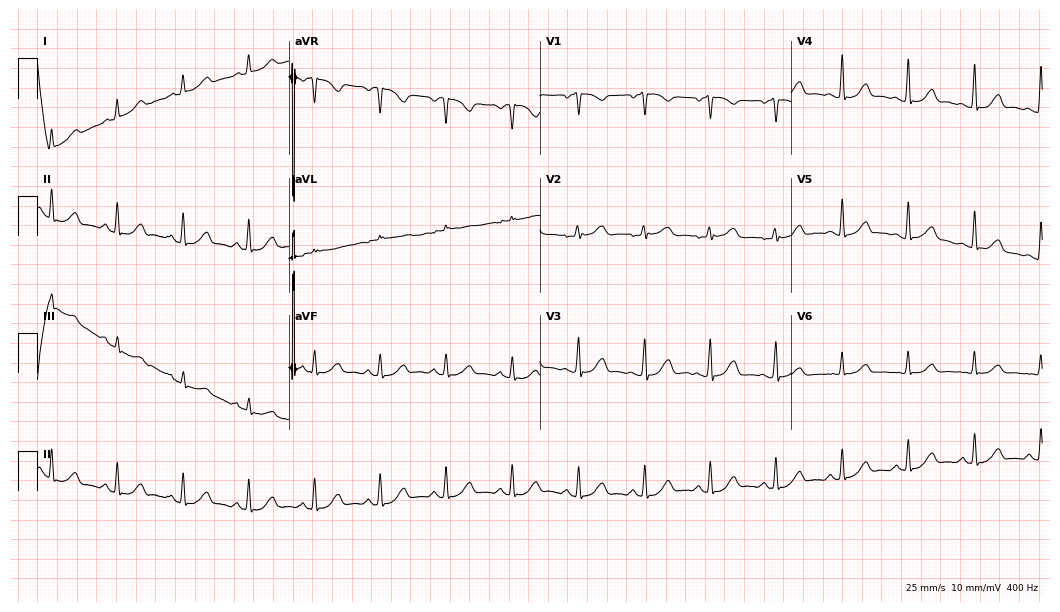
Standard 12-lead ECG recorded from a female, 52 years old. None of these six findings is recorded: first-degree AV block, right bundle branch block (RBBB), left bundle branch block (LBBB), sinus bradycardia, atrial fibrillation (AF), sinus tachycardia.